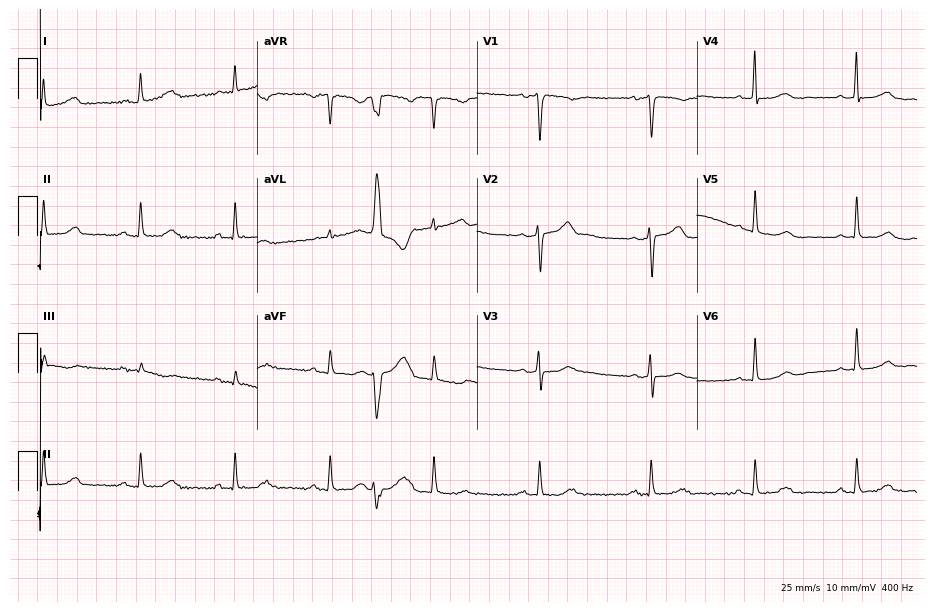
Standard 12-lead ECG recorded from a 74-year-old woman (9-second recording at 400 Hz). None of these six findings is recorded: first-degree AV block, right bundle branch block, left bundle branch block, sinus bradycardia, atrial fibrillation, sinus tachycardia.